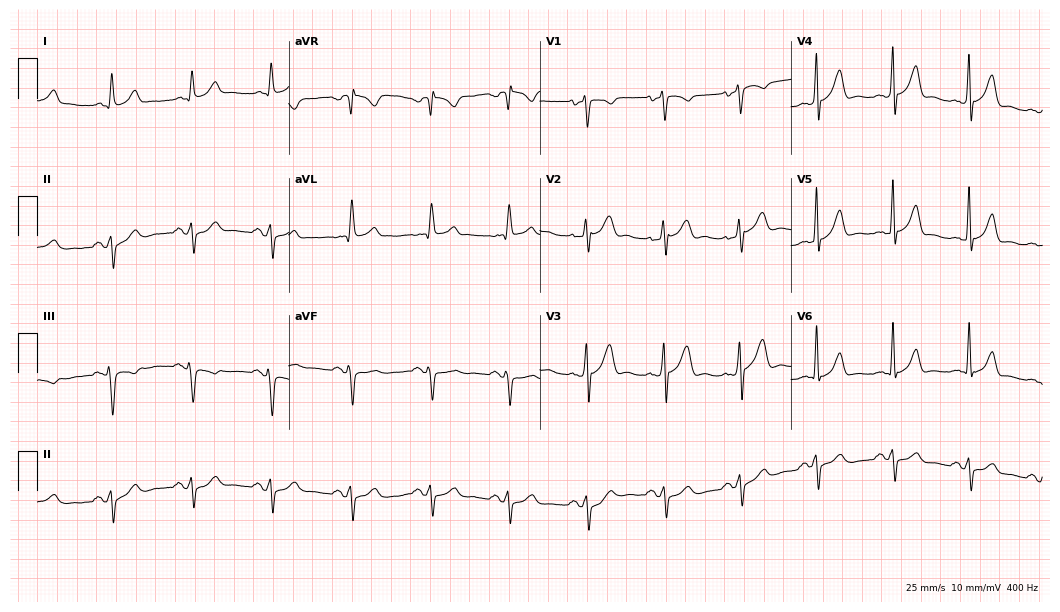
12-lead ECG from a male, 54 years old (10.2-second recording at 400 Hz). No first-degree AV block, right bundle branch block, left bundle branch block, sinus bradycardia, atrial fibrillation or sinus tachycardia recorded for this tracing. Findings outside these six are not listed.